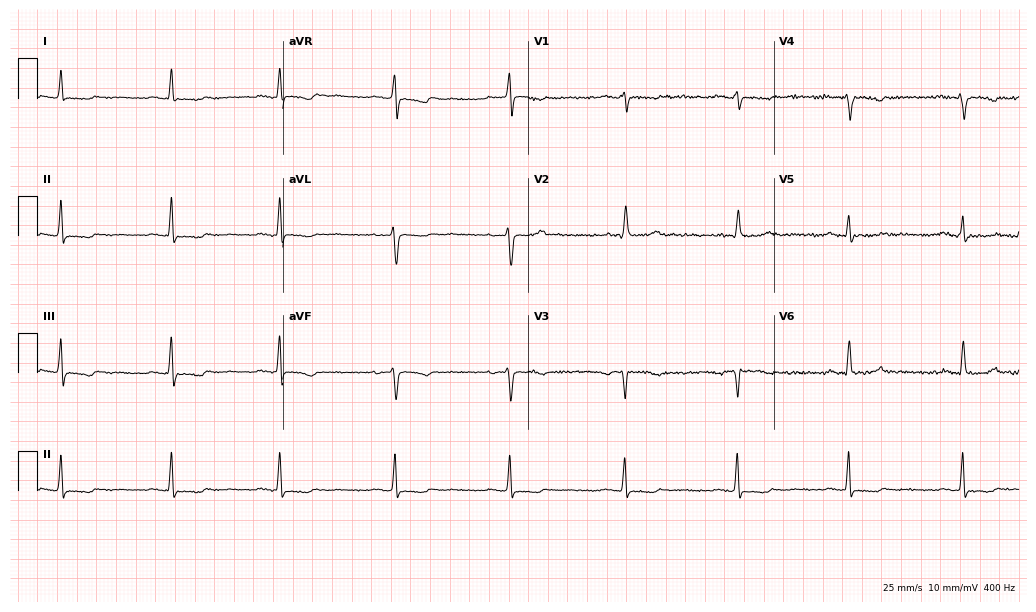
Electrocardiogram, a 78-year-old female. Of the six screened findings (first-degree AV block, right bundle branch block, left bundle branch block, sinus bradycardia, atrial fibrillation, sinus tachycardia), none is recorded. Findings outside these six are not listed.